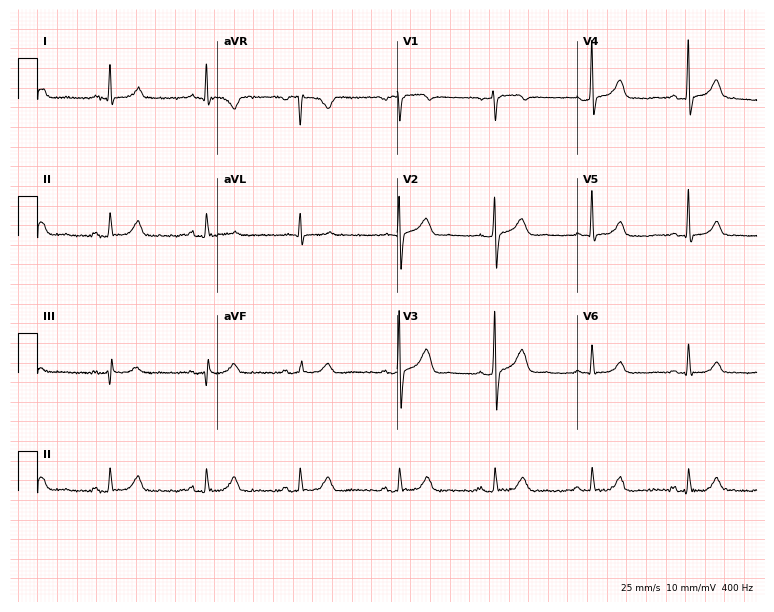
12-lead ECG from a 60-year-old male patient. Labelled as a normal ECG.